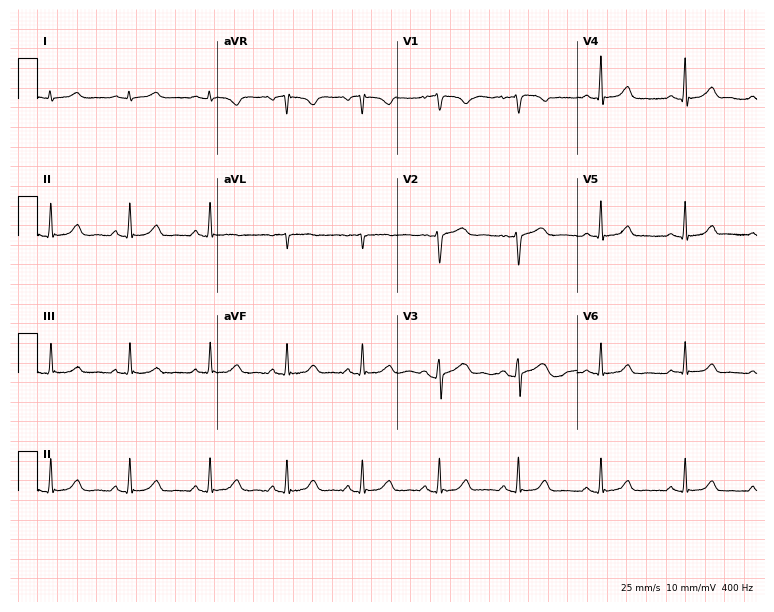
12-lead ECG (7.3-second recording at 400 Hz) from a 42-year-old female patient. Labelled as a normal ECG.